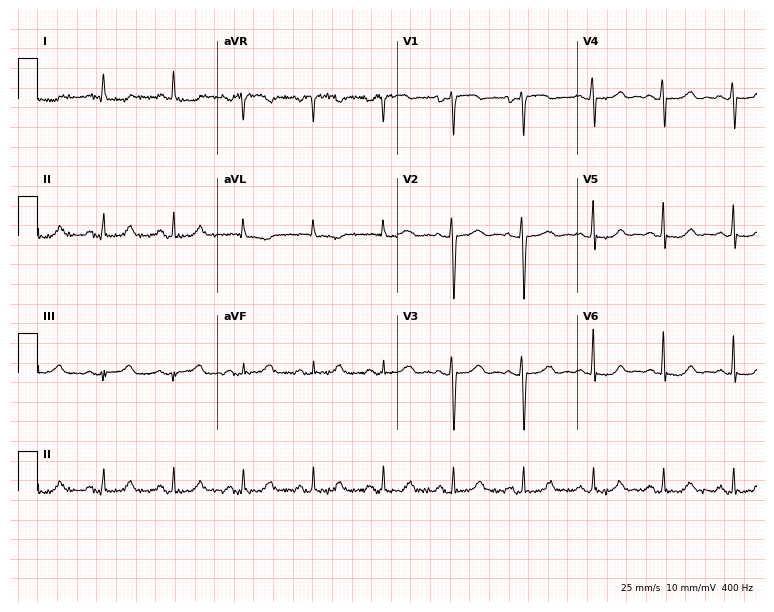
ECG — a female, 60 years old. Screened for six findings — first-degree AV block, right bundle branch block, left bundle branch block, sinus bradycardia, atrial fibrillation, sinus tachycardia — none is recorded. Other findings, if any, are not listed.